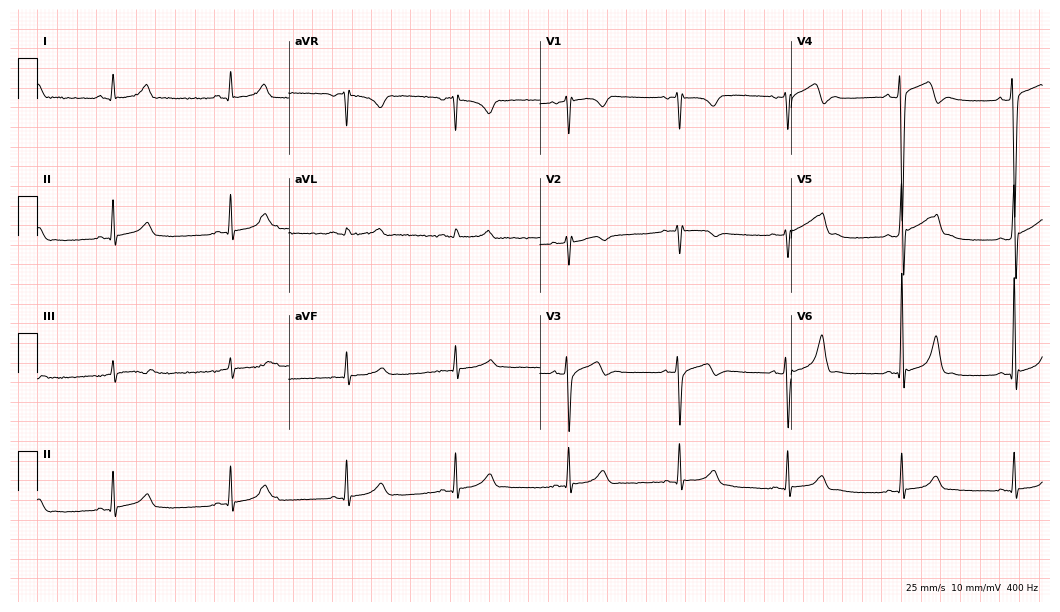
12-lead ECG from a male patient, 33 years old. Recorded interpretation: within normal limits.